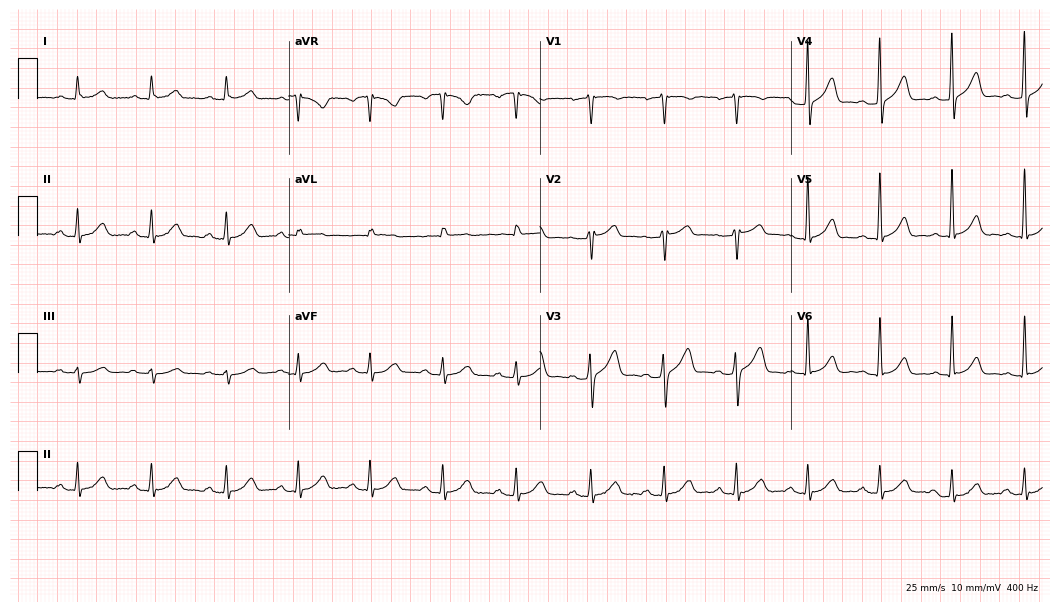
Electrocardiogram (10.2-second recording at 400 Hz), a man, 47 years old. Overall reading on record: normal ECG.